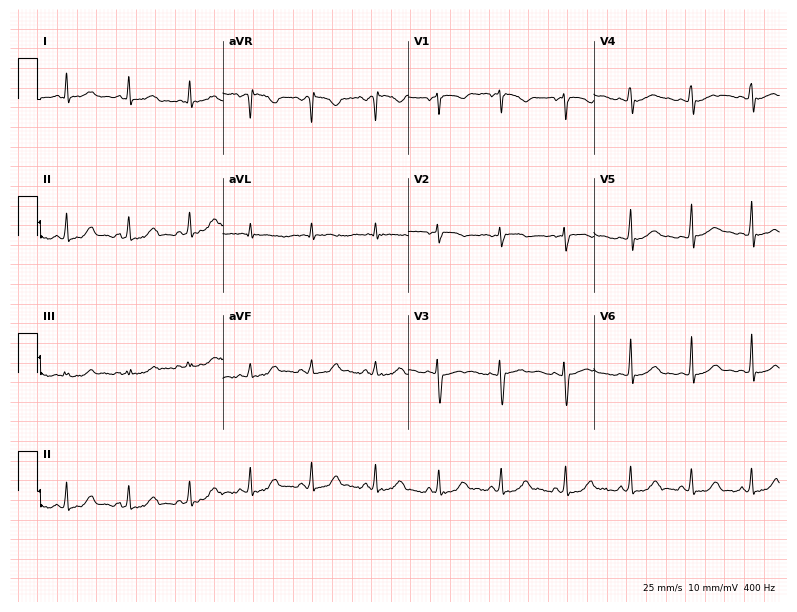
12-lead ECG from a 19-year-old female patient (7.6-second recording at 400 Hz). Recorded interpretation: within normal limits.